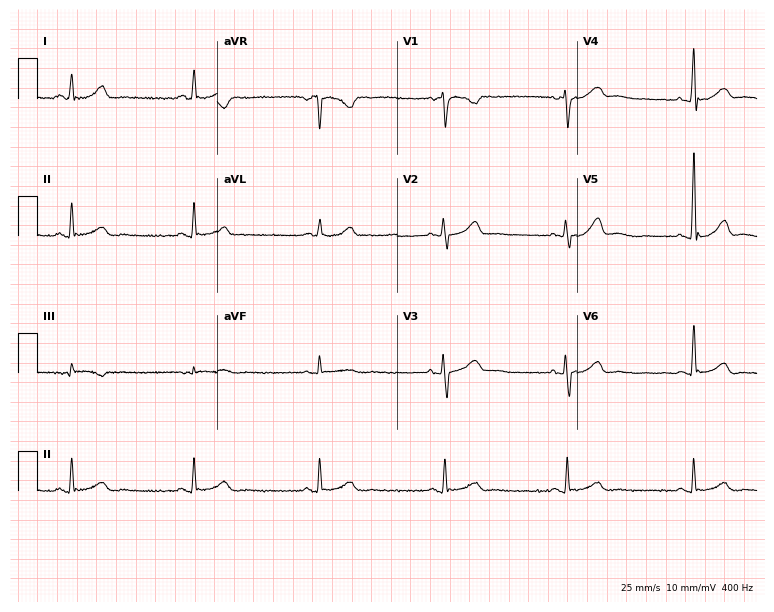
12-lead ECG from a 56-year-old male. Findings include sinus bradycardia (a sinus rate of 50 beats per minute or less).